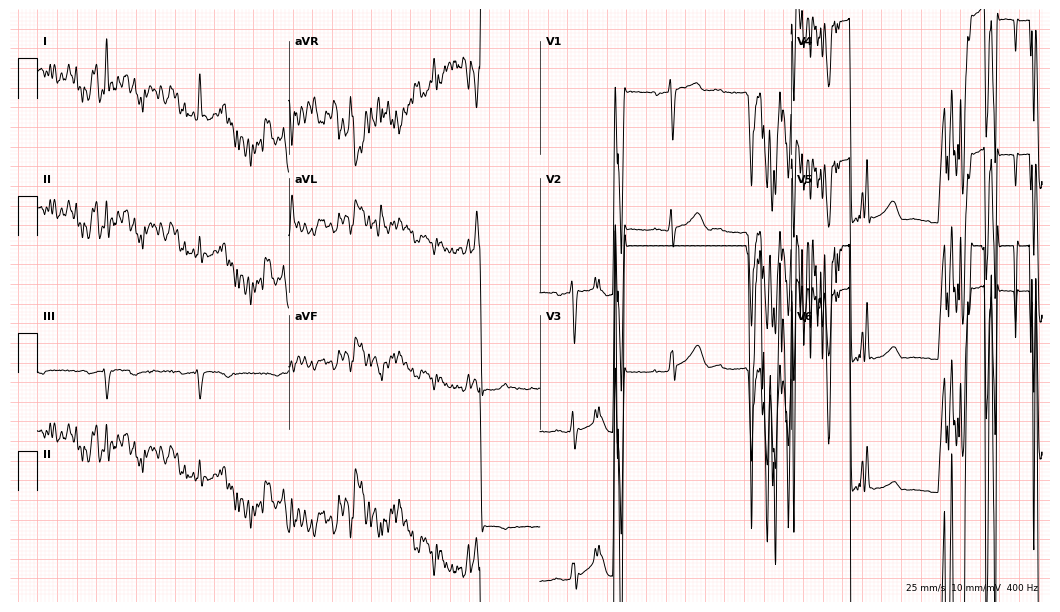
Standard 12-lead ECG recorded from a man, 36 years old (10.2-second recording at 400 Hz). None of these six findings is recorded: first-degree AV block, right bundle branch block, left bundle branch block, sinus bradycardia, atrial fibrillation, sinus tachycardia.